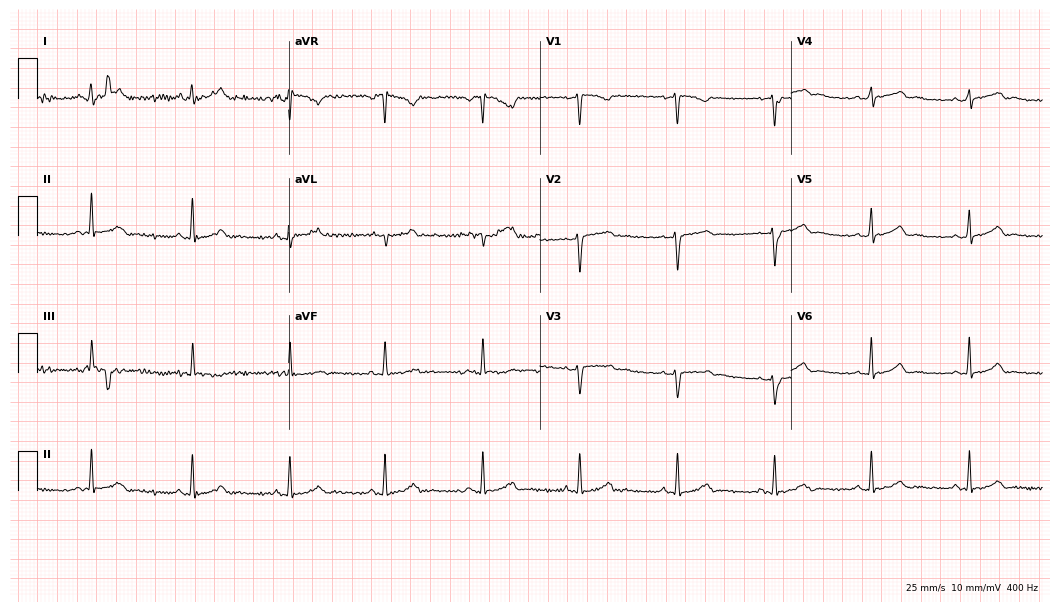
Electrocardiogram, a female, 30 years old. Of the six screened findings (first-degree AV block, right bundle branch block, left bundle branch block, sinus bradycardia, atrial fibrillation, sinus tachycardia), none is recorded. Other findings, if any, are not listed.